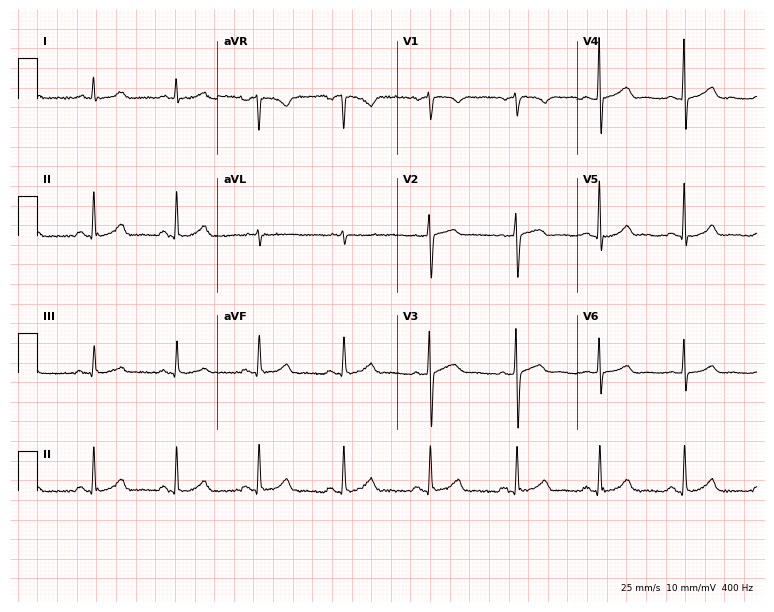
Resting 12-lead electrocardiogram. Patient: a 66-year-old male. Read as a normal ECG.